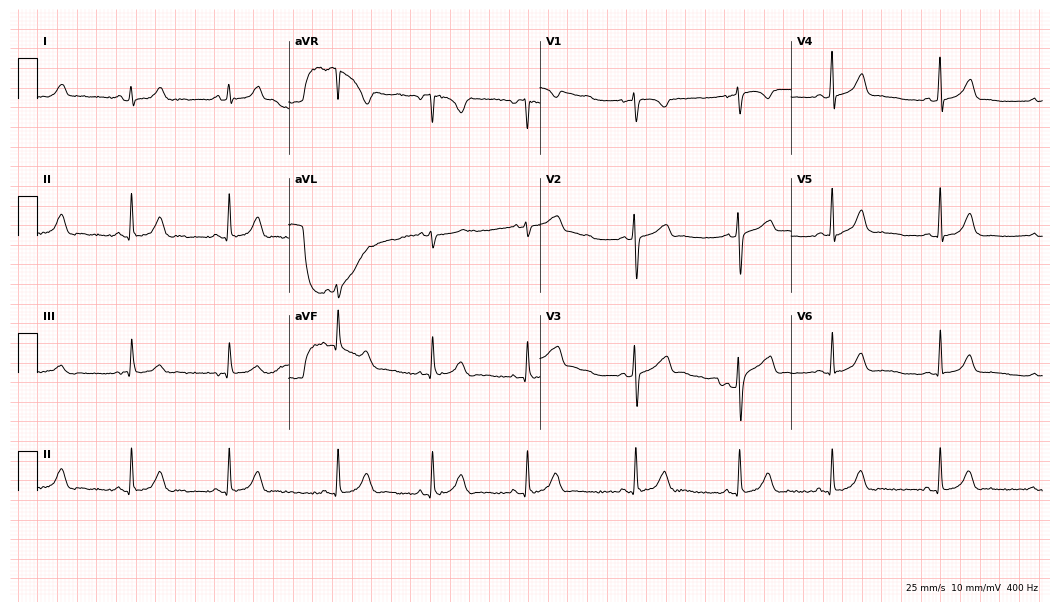
Standard 12-lead ECG recorded from a female patient, 19 years old (10.2-second recording at 400 Hz). Read as a normal ECG.